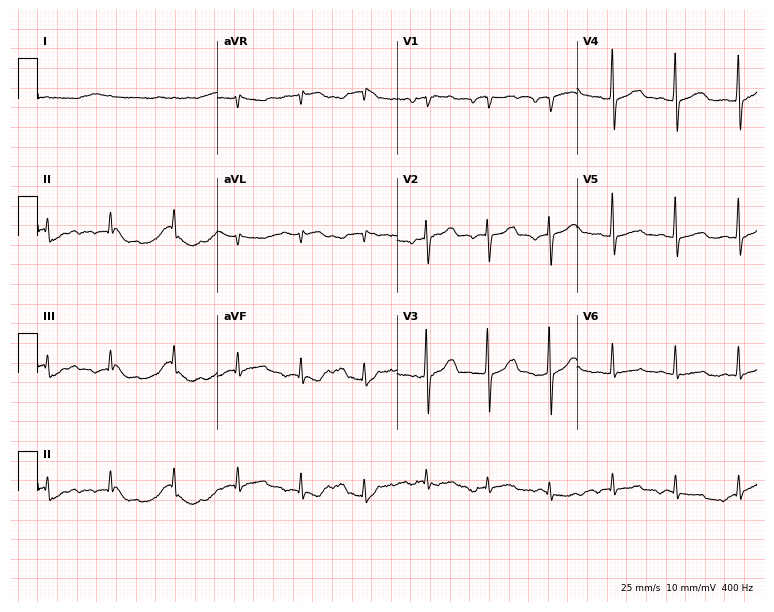
12-lead ECG (7.3-second recording at 400 Hz) from a man, 44 years old. Screened for six findings — first-degree AV block, right bundle branch block, left bundle branch block, sinus bradycardia, atrial fibrillation, sinus tachycardia — none is recorded. Only these six findings were labelled.